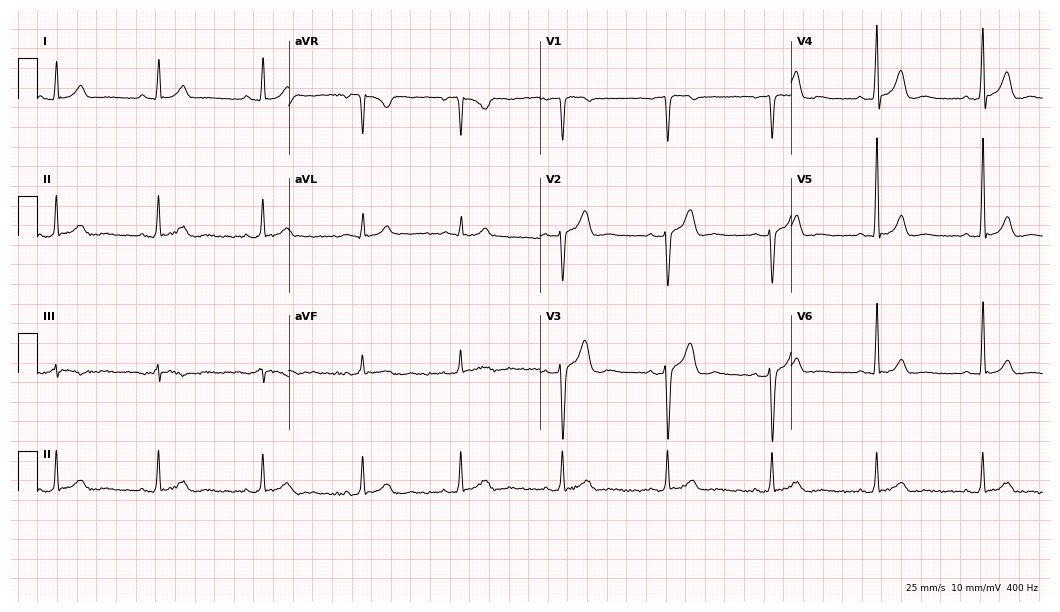
Resting 12-lead electrocardiogram. Patient: a 33-year-old man. Read as a normal ECG.